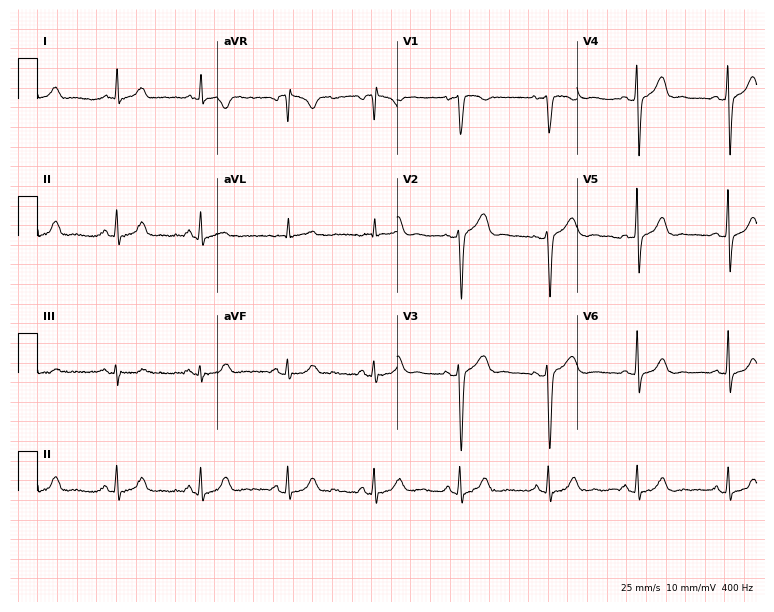
Standard 12-lead ECG recorded from a woman, 54 years old (7.3-second recording at 400 Hz). Read as a normal ECG.